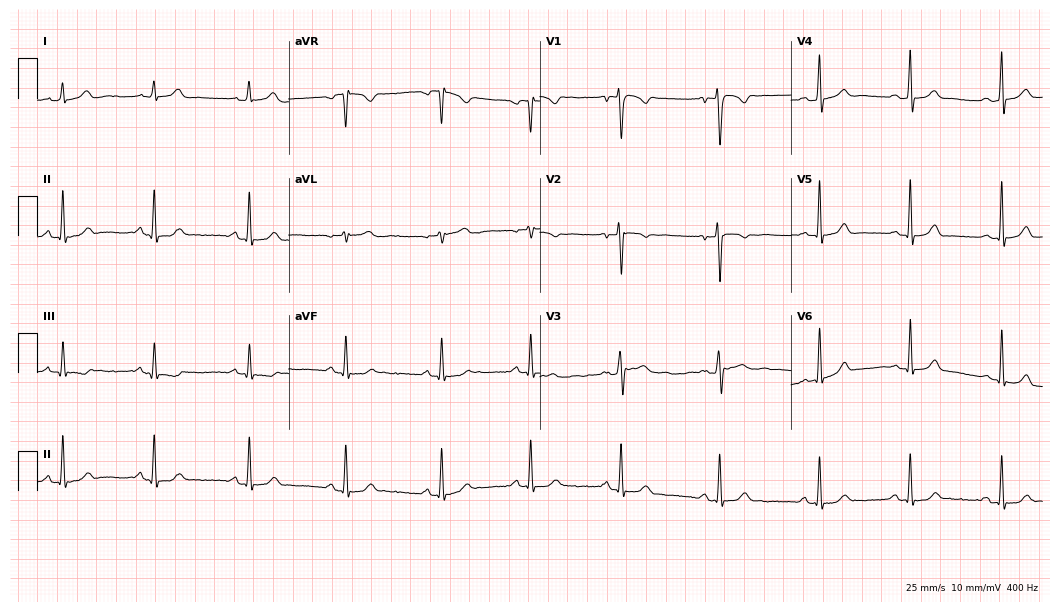
ECG — a female, 18 years old. Labelled as a normal ECG.